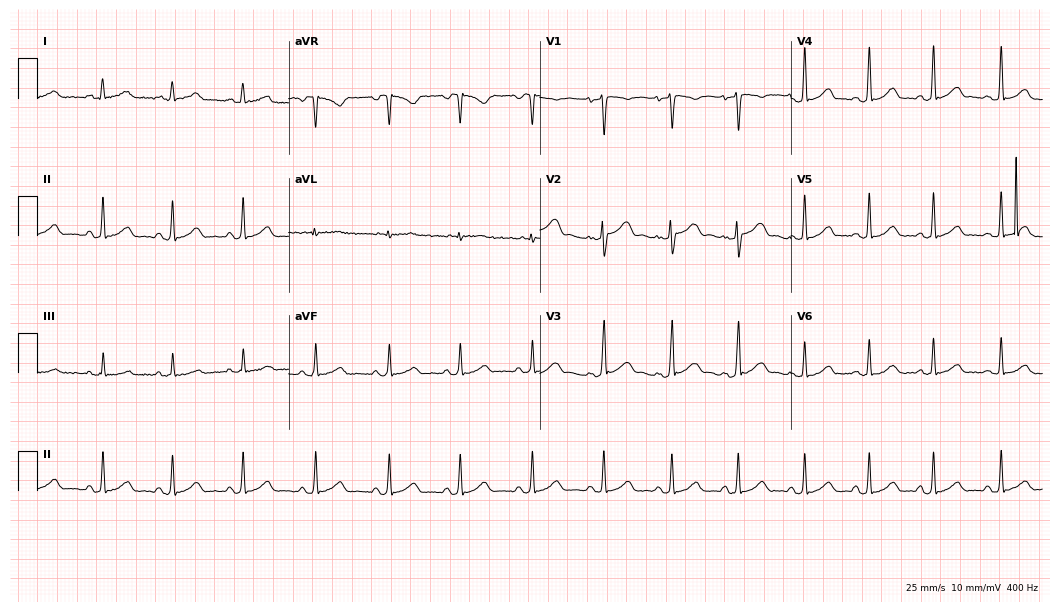
Electrocardiogram, a 33-year-old woman. Overall reading on record: normal ECG.